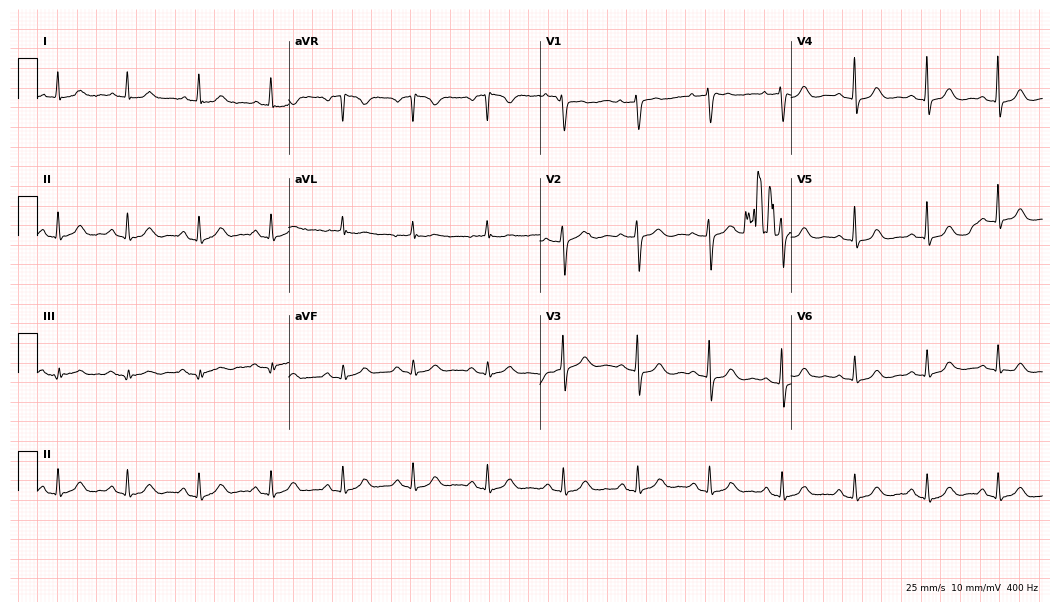
Resting 12-lead electrocardiogram (10.2-second recording at 400 Hz). Patient: a female, 63 years old. Read as a normal ECG.